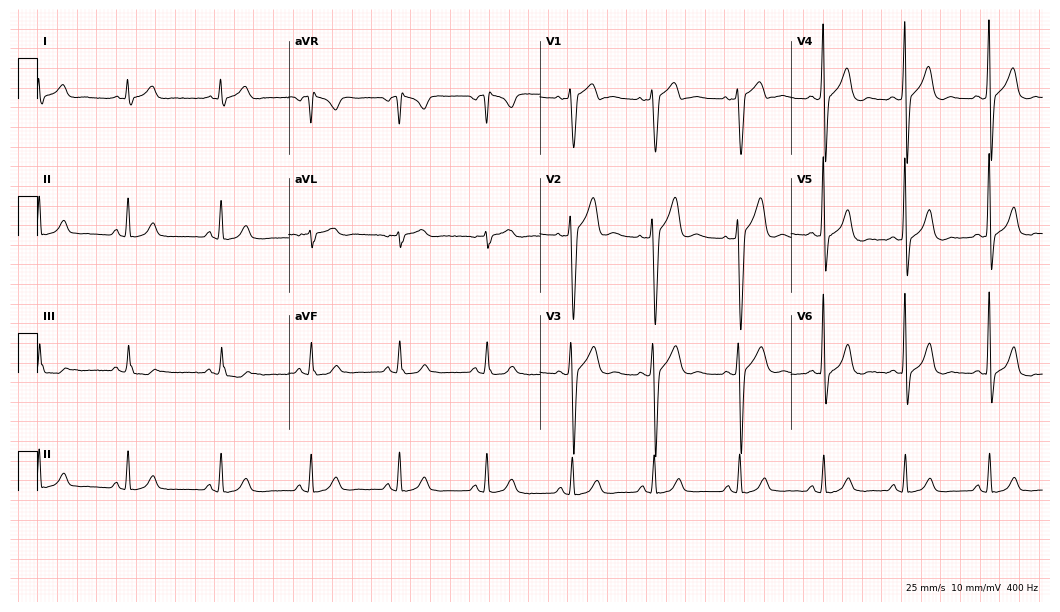
Electrocardiogram, a man, 41 years old. Of the six screened findings (first-degree AV block, right bundle branch block, left bundle branch block, sinus bradycardia, atrial fibrillation, sinus tachycardia), none is recorded.